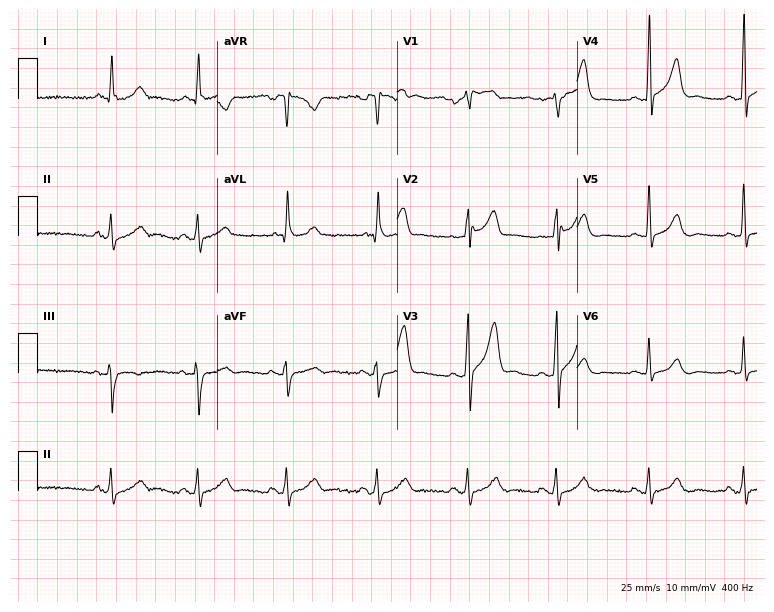
12-lead ECG from a 76-year-old male (7.3-second recording at 400 Hz). No first-degree AV block, right bundle branch block, left bundle branch block, sinus bradycardia, atrial fibrillation or sinus tachycardia recorded for this tracing.